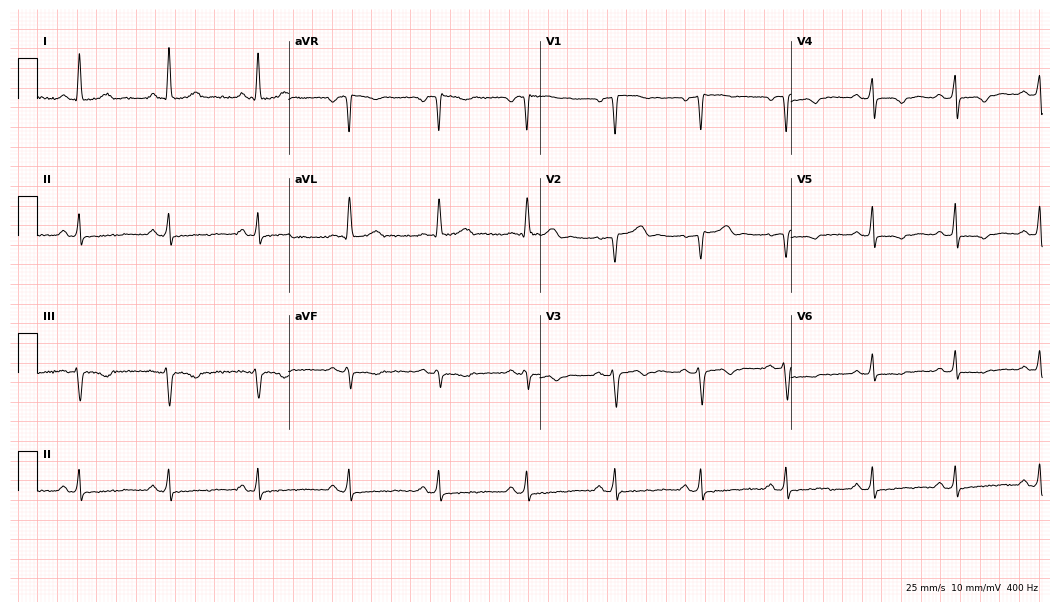
Electrocardiogram, a 54-year-old female. Of the six screened findings (first-degree AV block, right bundle branch block, left bundle branch block, sinus bradycardia, atrial fibrillation, sinus tachycardia), none is recorded. Only these six findings were labelled.